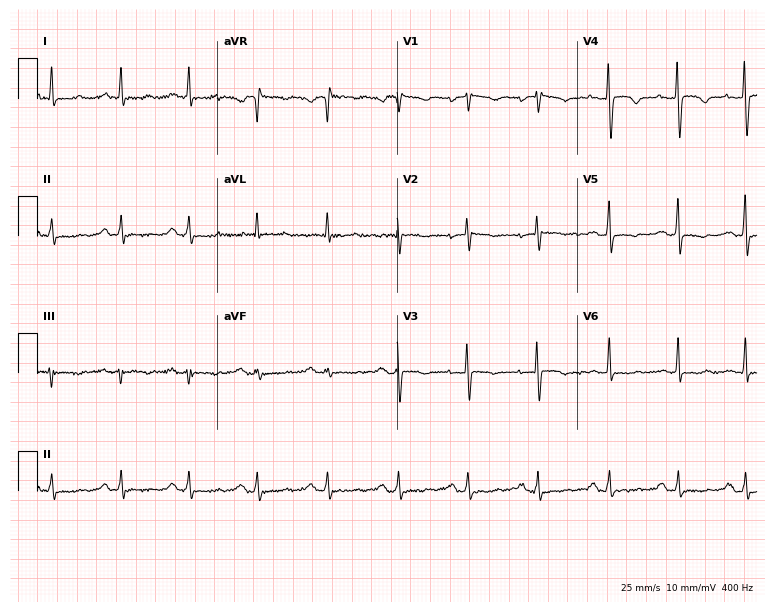
12-lead ECG from a 54-year-old female patient. Screened for six findings — first-degree AV block, right bundle branch block, left bundle branch block, sinus bradycardia, atrial fibrillation, sinus tachycardia — none is recorded. Other findings, if any, are not listed.